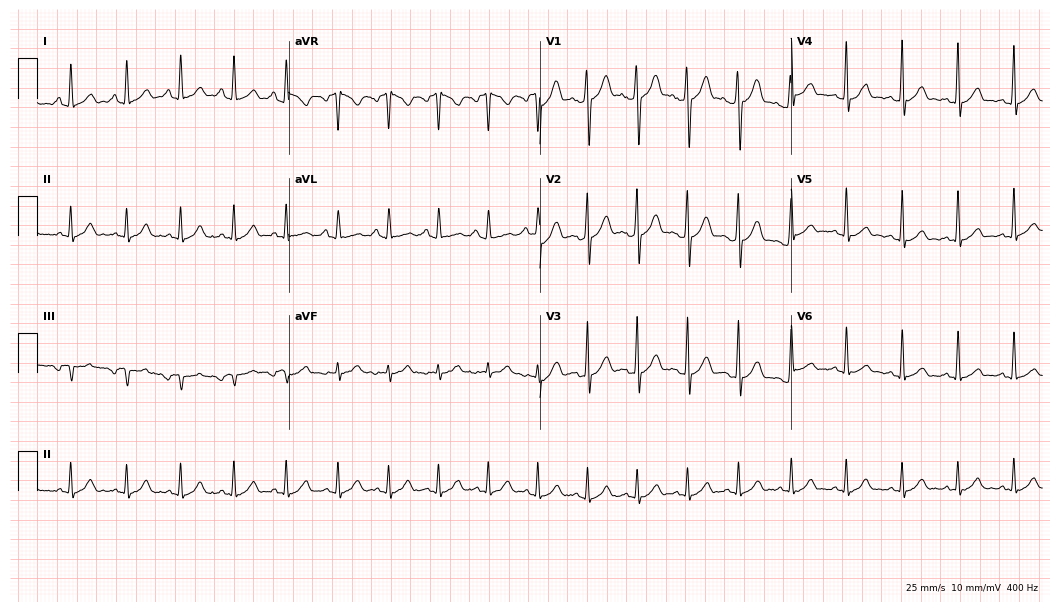
Electrocardiogram (10.2-second recording at 400 Hz), a 34-year-old male. Interpretation includes sinus tachycardia (a sinus rate of 100 beats per minute or more).